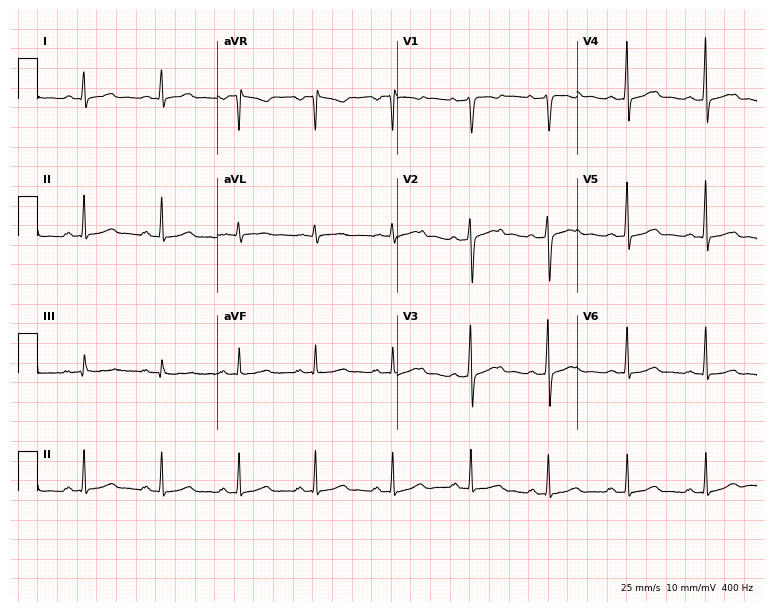
Resting 12-lead electrocardiogram (7.3-second recording at 400 Hz). Patient: a 51-year-old female. Read as a normal ECG.